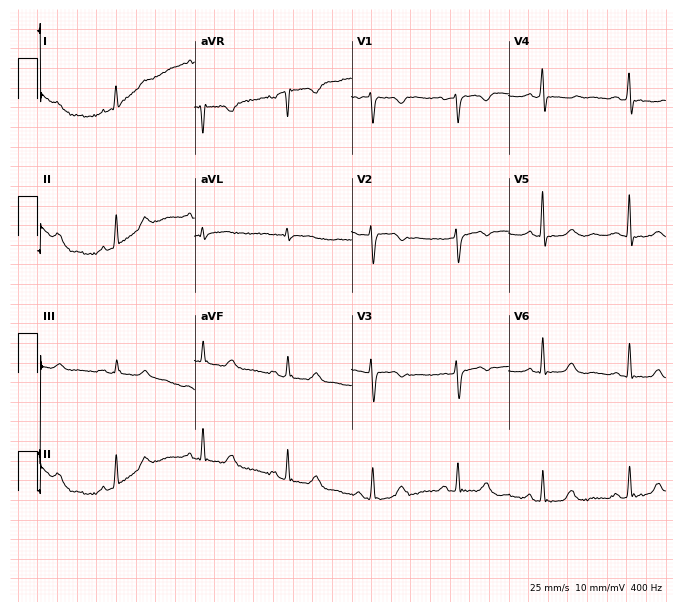
12-lead ECG from a 47-year-old woman. Screened for six findings — first-degree AV block, right bundle branch block (RBBB), left bundle branch block (LBBB), sinus bradycardia, atrial fibrillation (AF), sinus tachycardia — none is recorded.